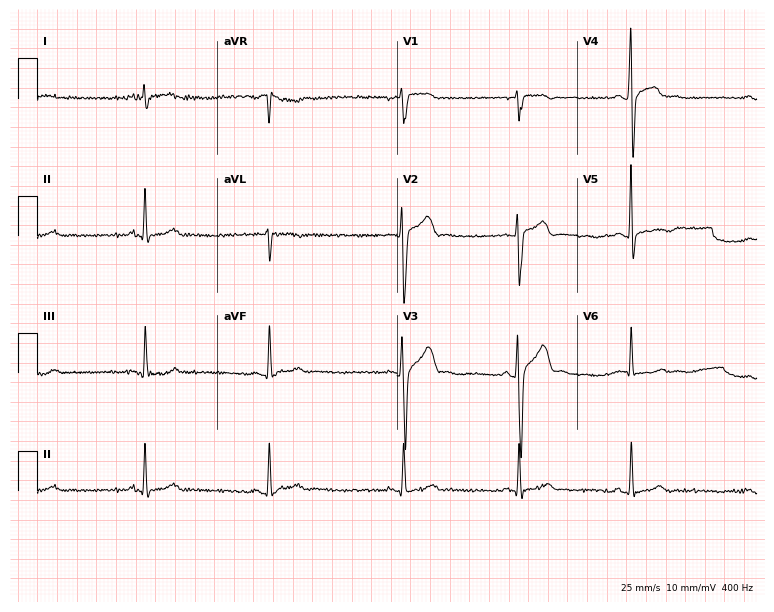
ECG (7.3-second recording at 400 Hz) — a 24-year-old man. Findings include sinus bradycardia (a sinus rate of 50 beats per minute or less).